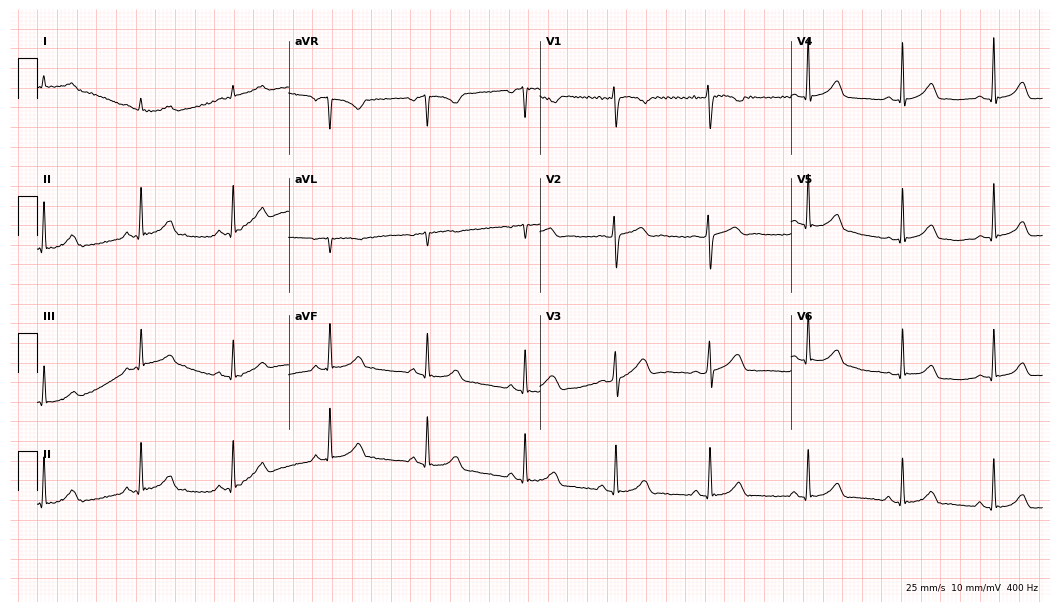
Standard 12-lead ECG recorded from a woman, 41 years old (10.2-second recording at 400 Hz). Read as a normal ECG.